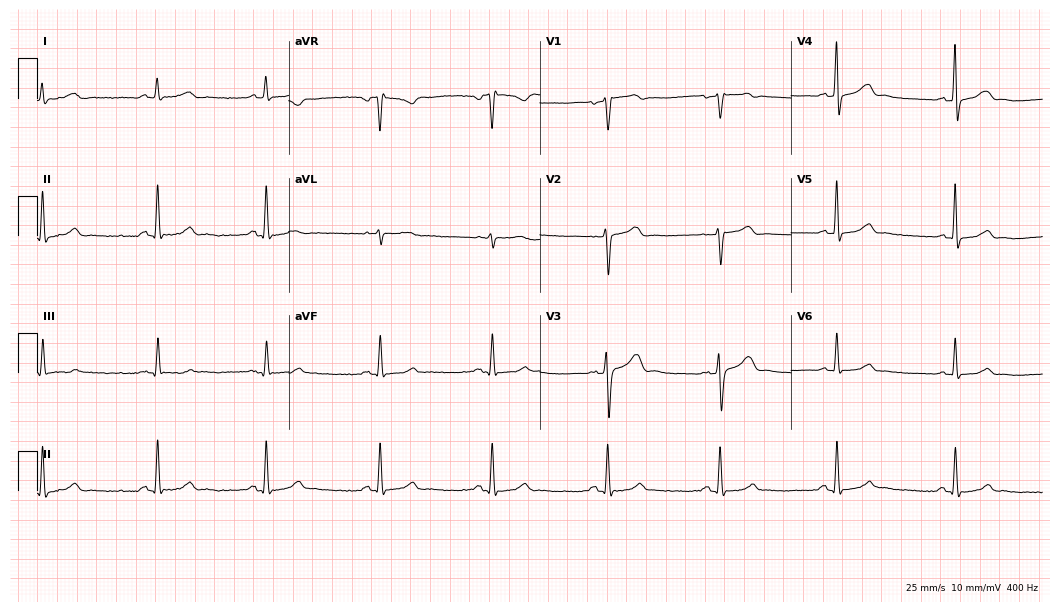
12-lead ECG from a female patient, 65 years old (10.2-second recording at 400 Hz). No first-degree AV block, right bundle branch block (RBBB), left bundle branch block (LBBB), sinus bradycardia, atrial fibrillation (AF) or sinus tachycardia recorded for this tracing.